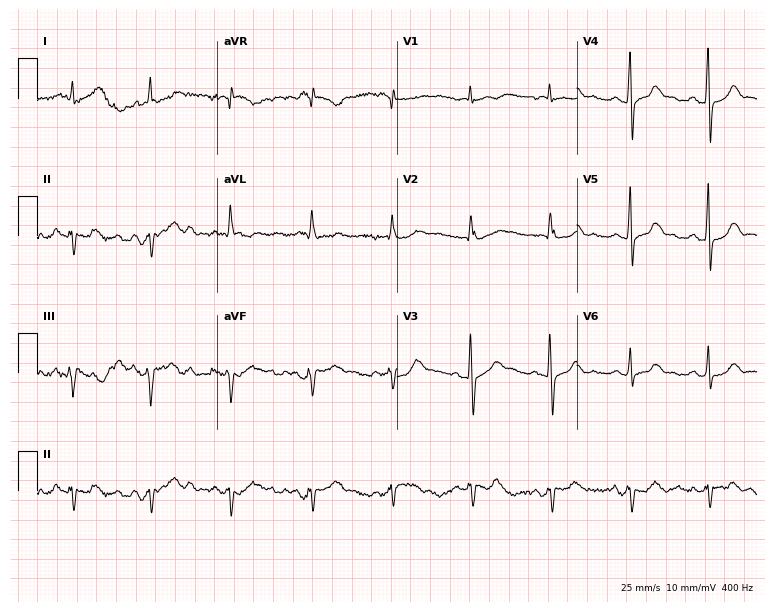
Electrocardiogram, a woman, 66 years old. Of the six screened findings (first-degree AV block, right bundle branch block (RBBB), left bundle branch block (LBBB), sinus bradycardia, atrial fibrillation (AF), sinus tachycardia), none is recorded. Other findings, if any, are not listed.